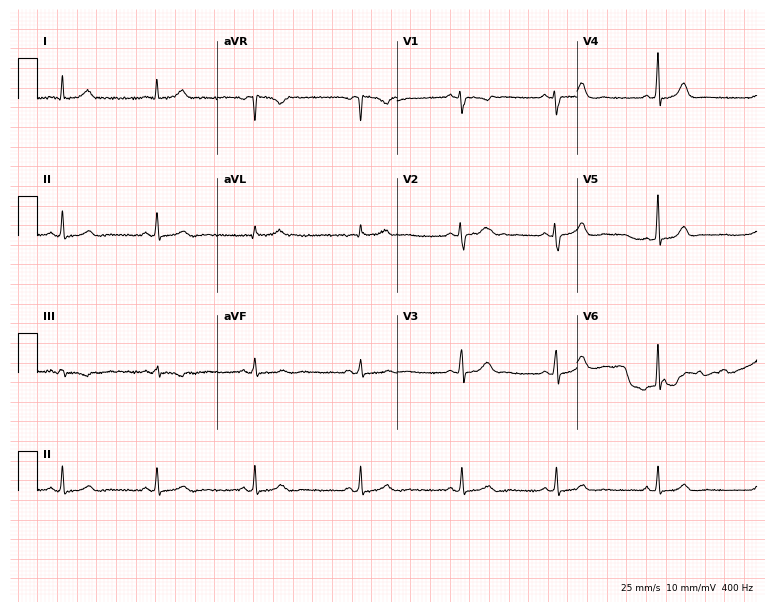
Electrocardiogram, a 42-year-old woman. Of the six screened findings (first-degree AV block, right bundle branch block, left bundle branch block, sinus bradycardia, atrial fibrillation, sinus tachycardia), none is recorded. Other findings, if any, are not listed.